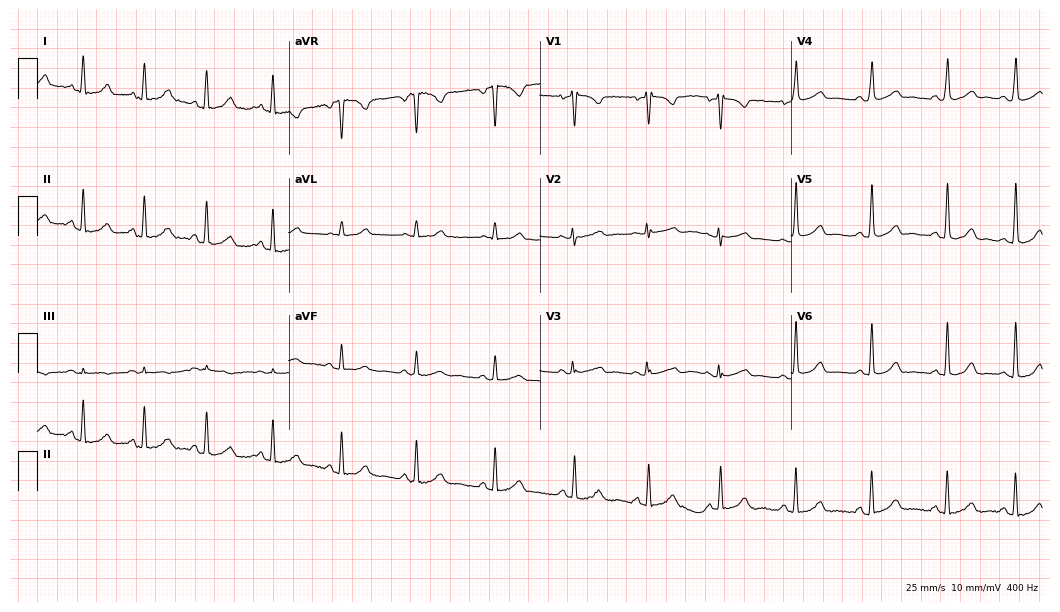
Standard 12-lead ECG recorded from a female patient, 23 years old. None of these six findings is recorded: first-degree AV block, right bundle branch block, left bundle branch block, sinus bradycardia, atrial fibrillation, sinus tachycardia.